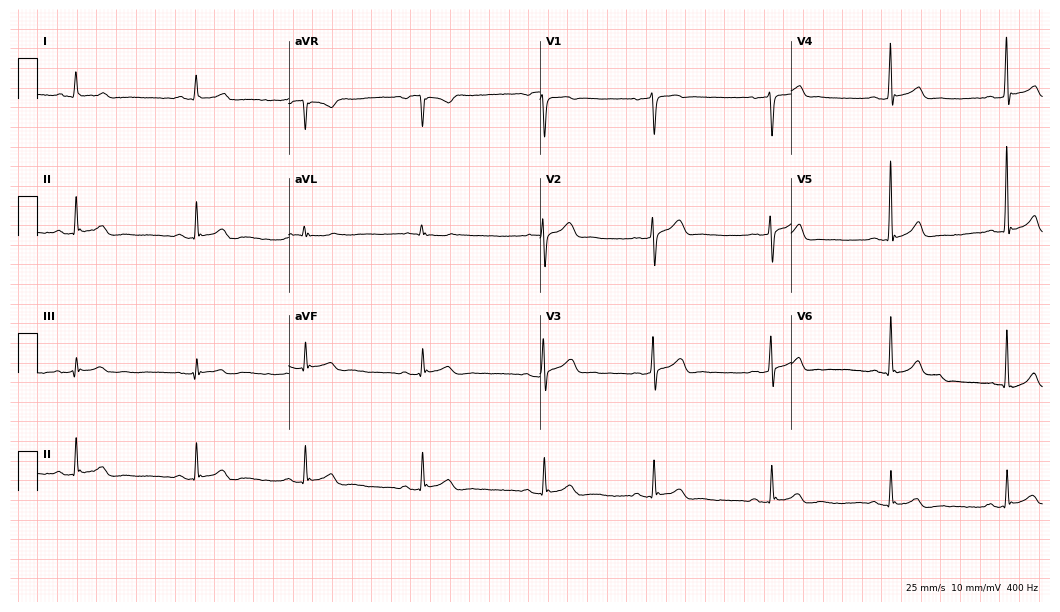
12-lead ECG from a male, 32 years old. Recorded interpretation: within normal limits.